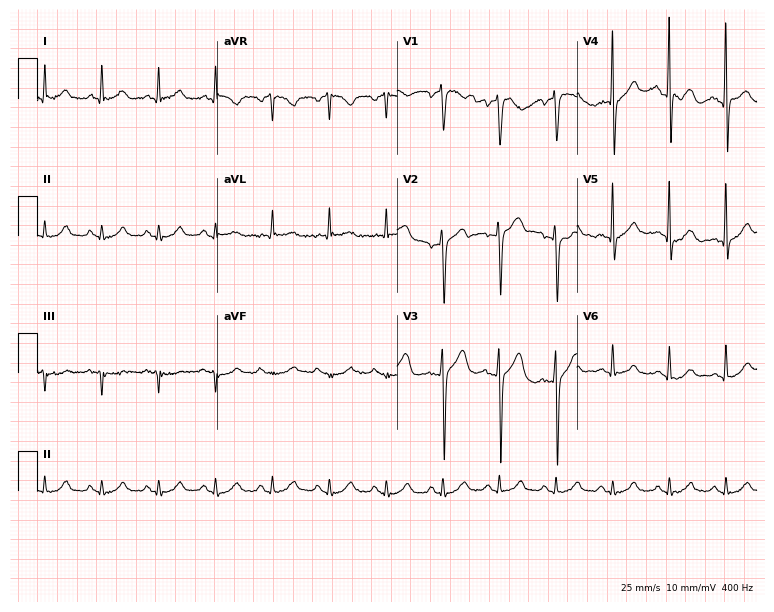
Standard 12-lead ECG recorded from a 60-year-old male (7.3-second recording at 400 Hz). The tracing shows sinus tachycardia (a sinus rate of 100 beats per minute or more).